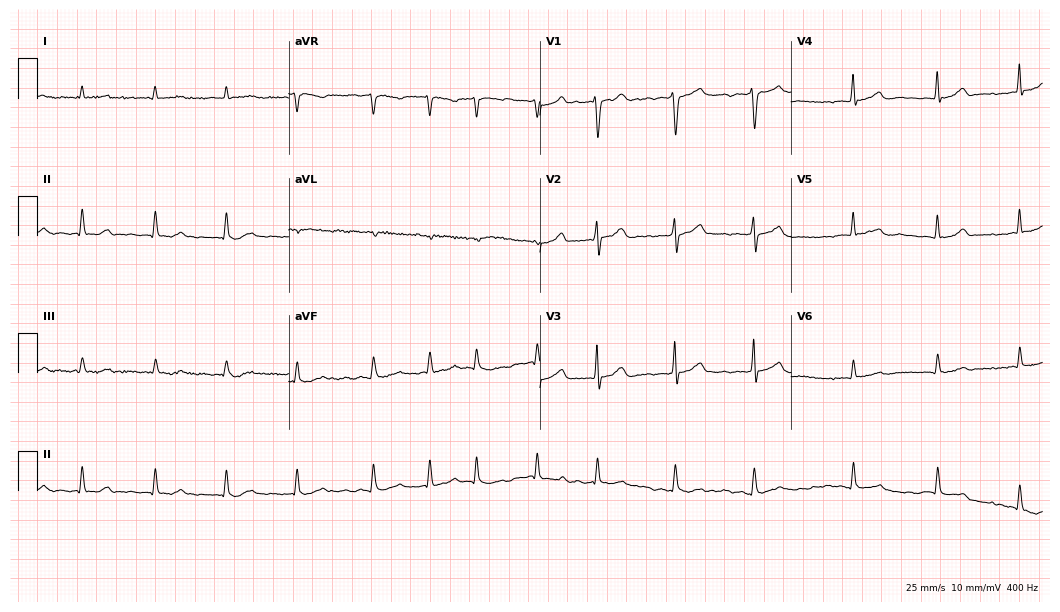
12-lead ECG from a male, 70 years old. No first-degree AV block, right bundle branch block, left bundle branch block, sinus bradycardia, atrial fibrillation or sinus tachycardia recorded for this tracing. Only these six findings were labelled.